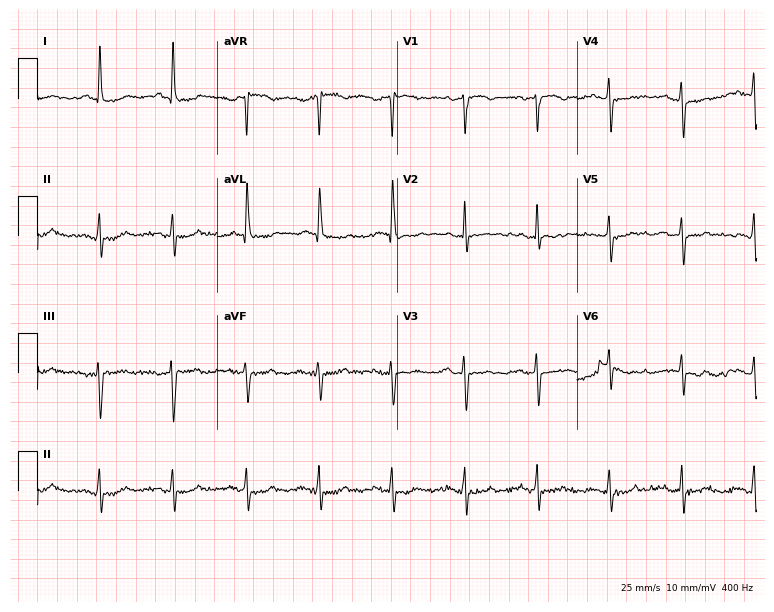
12-lead ECG from a woman, 82 years old (7.3-second recording at 400 Hz). No first-degree AV block, right bundle branch block, left bundle branch block, sinus bradycardia, atrial fibrillation or sinus tachycardia recorded for this tracing. Findings outside these six are not listed.